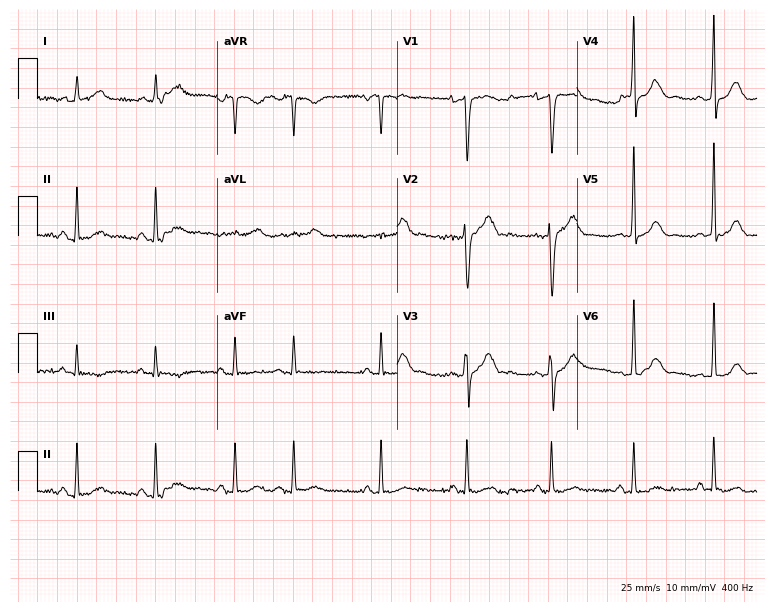
12-lead ECG (7.3-second recording at 400 Hz) from a male, 57 years old. Labelled as a normal ECG.